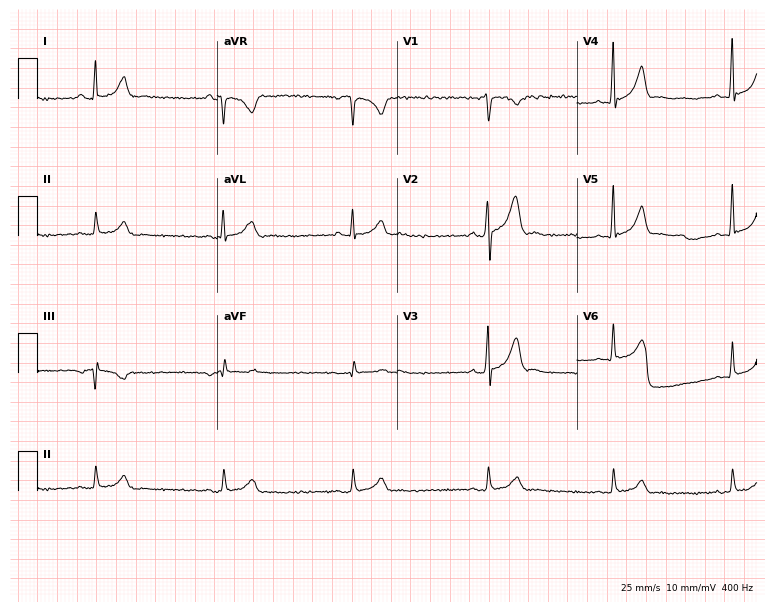
12-lead ECG from a male patient, 33 years old. Findings include sinus bradycardia (a sinus rate of 50 beats per minute or less).